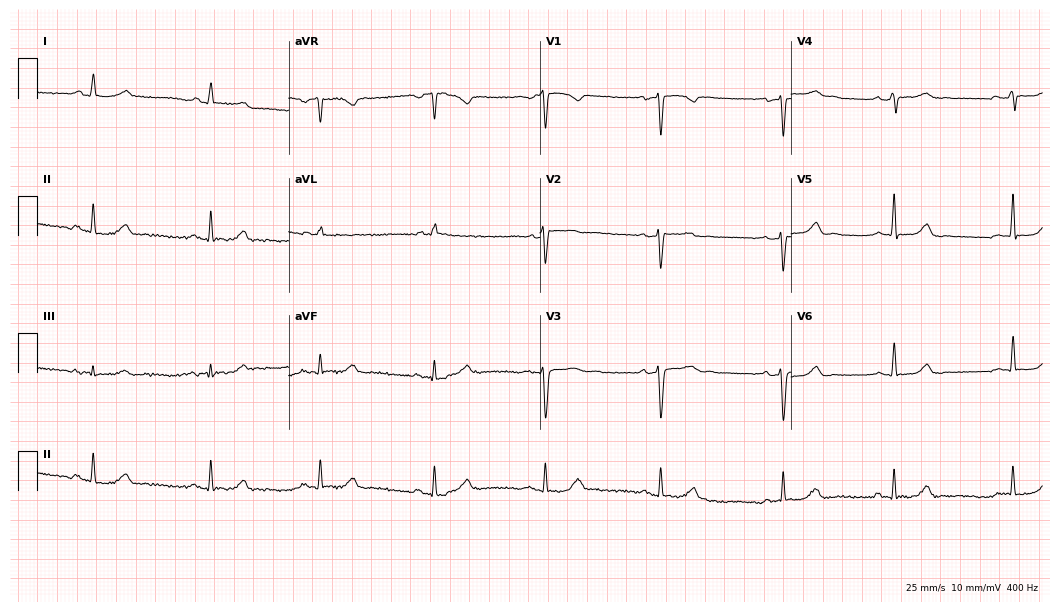
ECG — a 35-year-old woman. Labelled as a normal ECG.